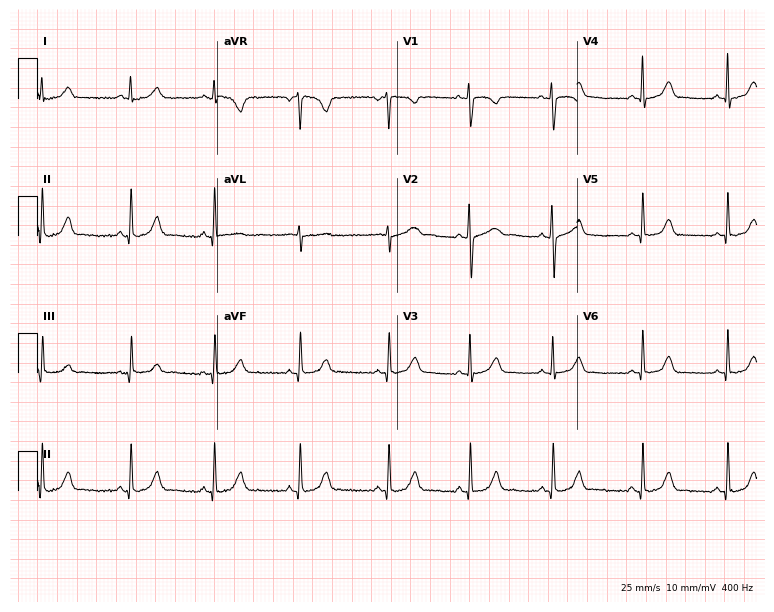
12-lead ECG from a female, 17 years old (7.3-second recording at 400 Hz). Recorded interpretation: within normal limits.